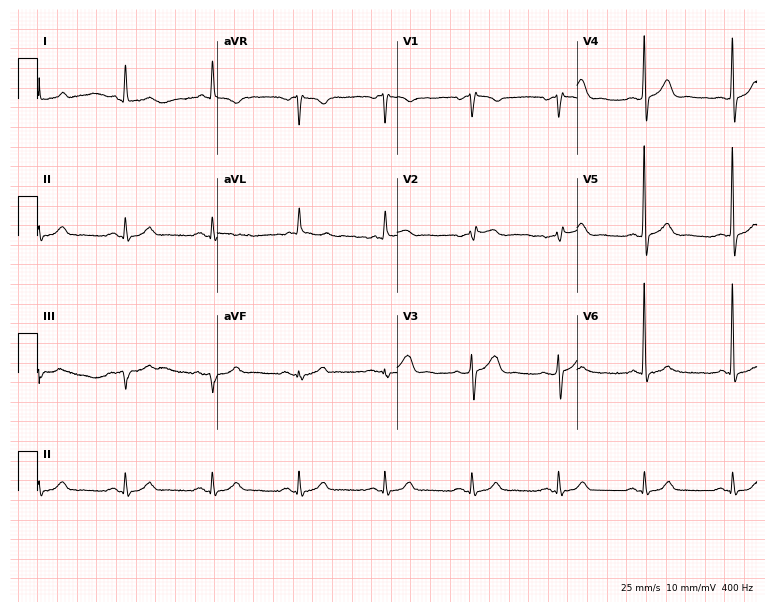
ECG (7.3-second recording at 400 Hz) — a man, 73 years old. Screened for six findings — first-degree AV block, right bundle branch block, left bundle branch block, sinus bradycardia, atrial fibrillation, sinus tachycardia — none is recorded.